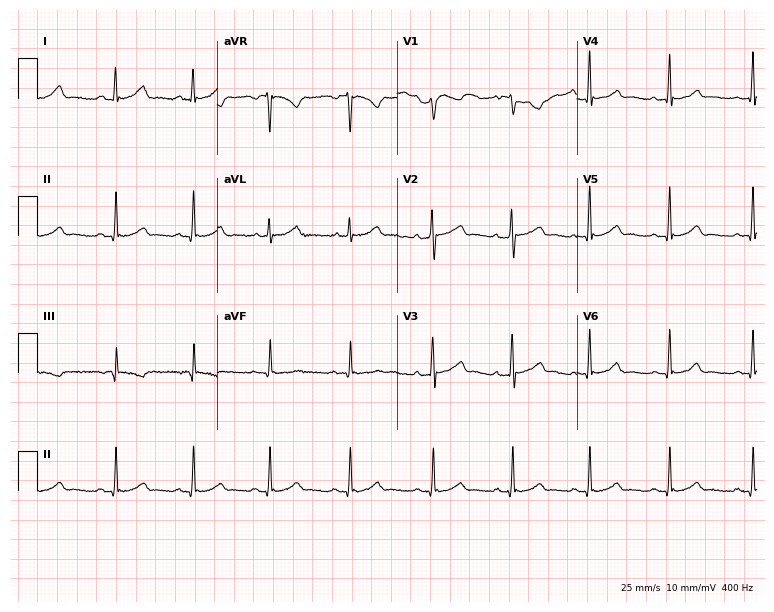
ECG — a woman, 37 years old. Labelled as a normal ECG.